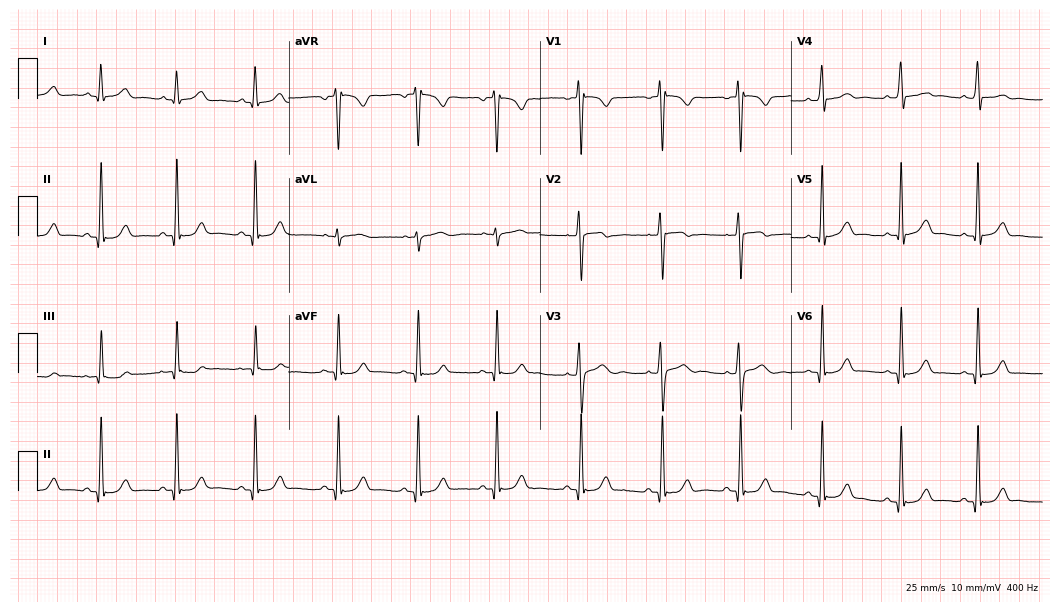
12-lead ECG from a 28-year-old woman. Labelled as a normal ECG.